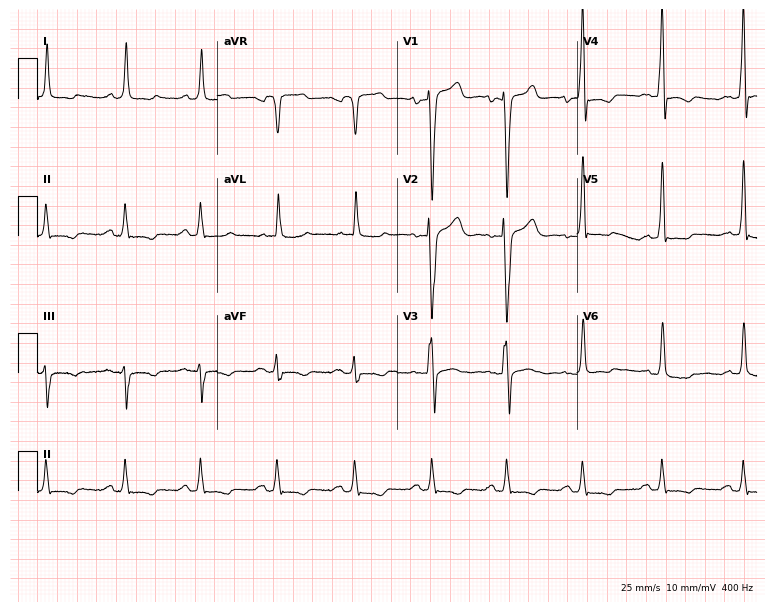
Standard 12-lead ECG recorded from a female patient, 81 years old. None of these six findings is recorded: first-degree AV block, right bundle branch block, left bundle branch block, sinus bradycardia, atrial fibrillation, sinus tachycardia. Only these six findings were labelled.